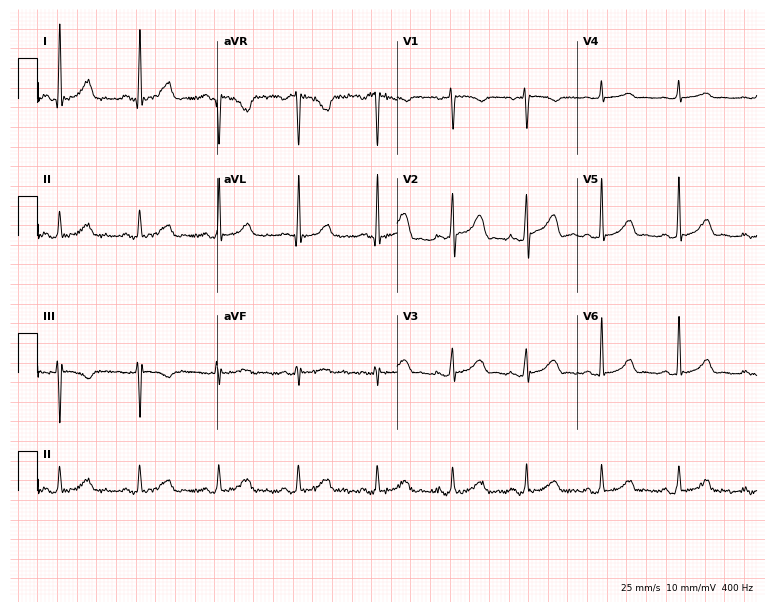
12-lead ECG (7.3-second recording at 400 Hz) from a 52-year-old female patient. Labelled as a normal ECG.